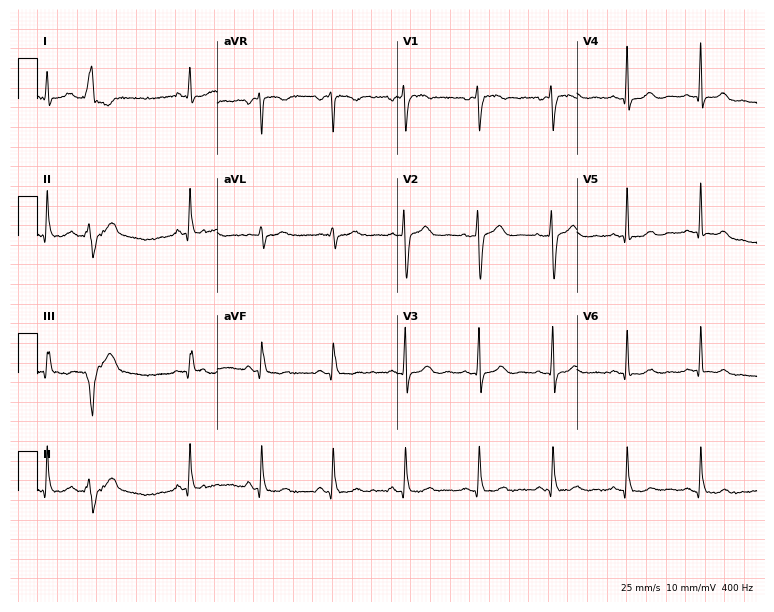
12-lead ECG from a woman, 56 years old (7.3-second recording at 400 Hz). No first-degree AV block, right bundle branch block (RBBB), left bundle branch block (LBBB), sinus bradycardia, atrial fibrillation (AF) or sinus tachycardia recorded for this tracing. Other findings, if any, are not listed.